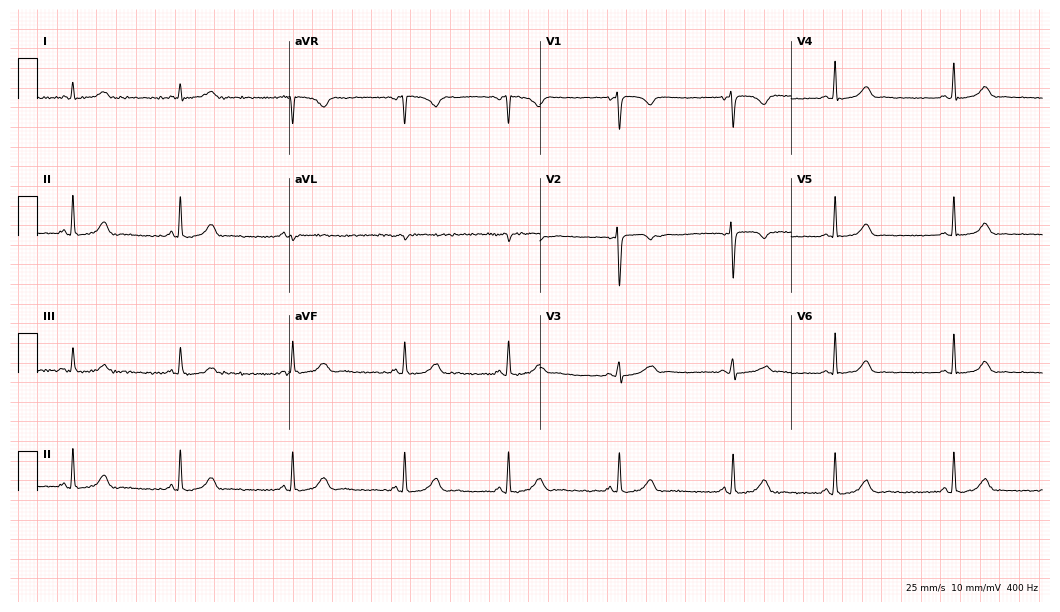
Electrocardiogram (10.2-second recording at 400 Hz), a woman, 23 years old. Overall reading on record: normal ECG.